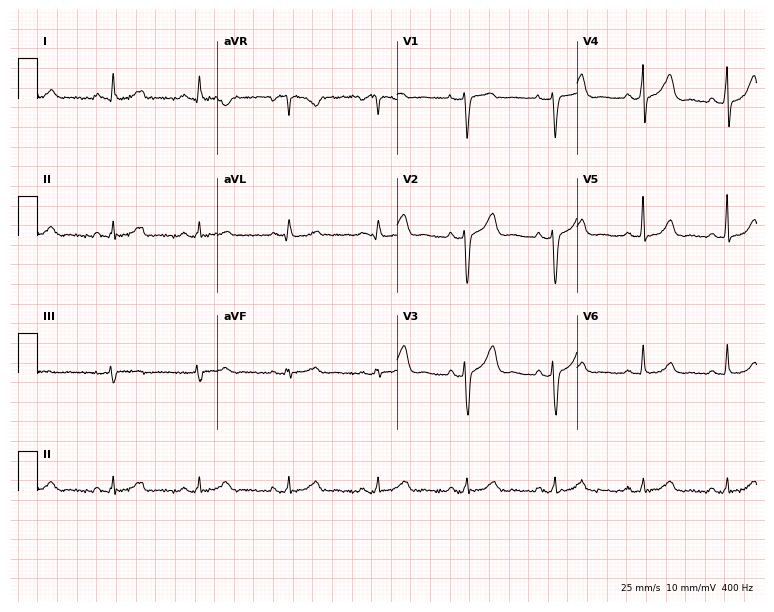
Resting 12-lead electrocardiogram (7.3-second recording at 400 Hz). Patient: a 47-year-old female. Read as a normal ECG.